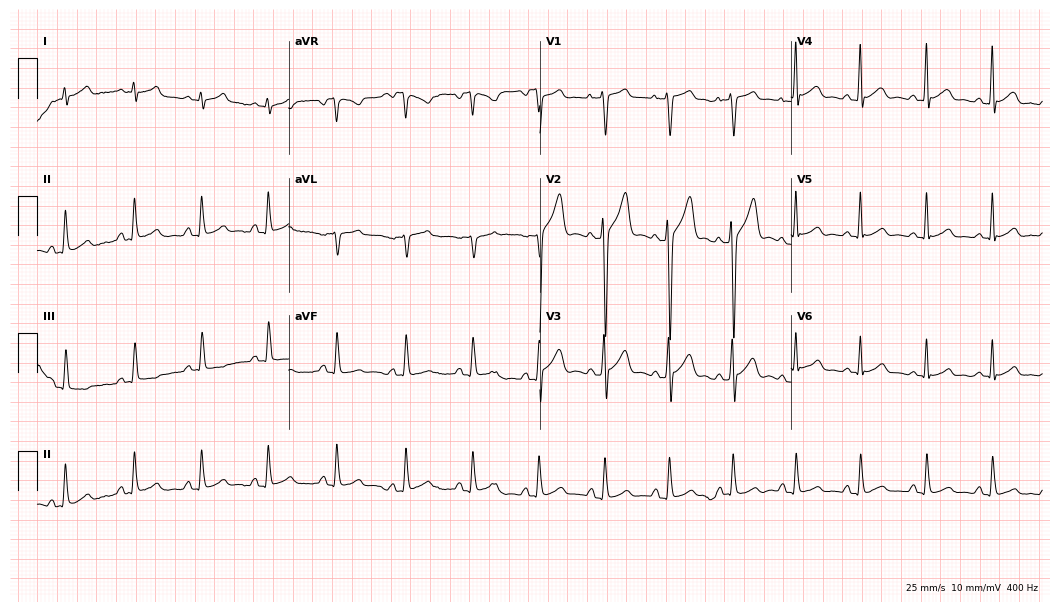
ECG (10.2-second recording at 400 Hz) — a man, 35 years old. Labelled as a normal ECG.